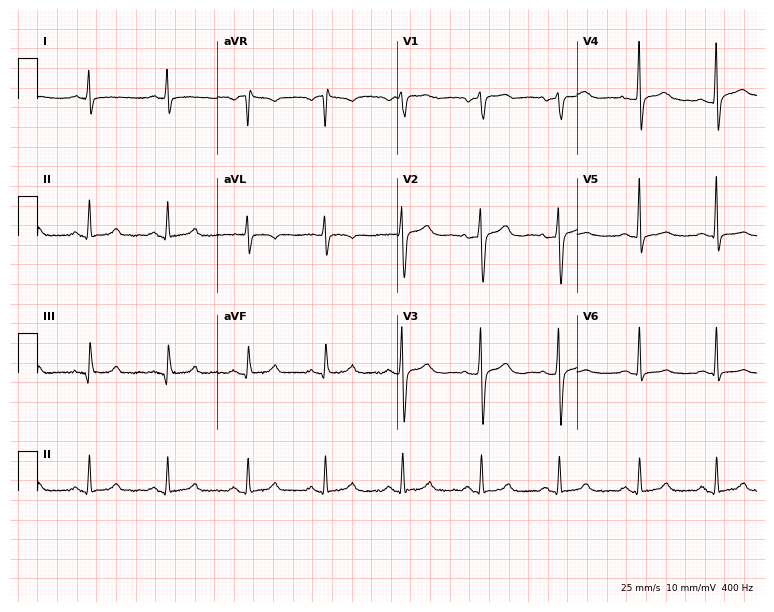
12-lead ECG from a female patient, 62 years old. Screened for six findings — first-degree AV block, right bundle branch block, left bundle branch block, sinus bradycardia, atrial fibrillation, sinus tachycardia — none is recorded.